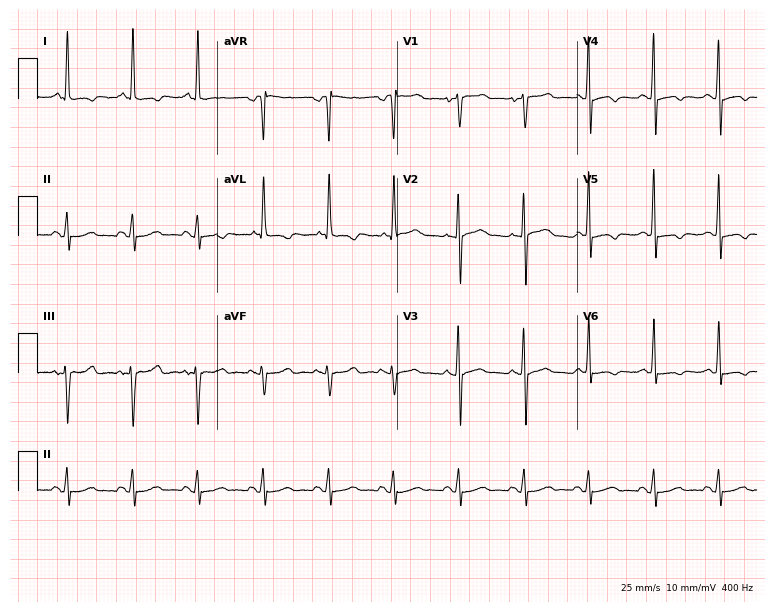
Resting 12-lead electrocardiogram (7.3-second recording at 400 Hz). Patient: a woman, 66 years old. Read as a normal ECG.